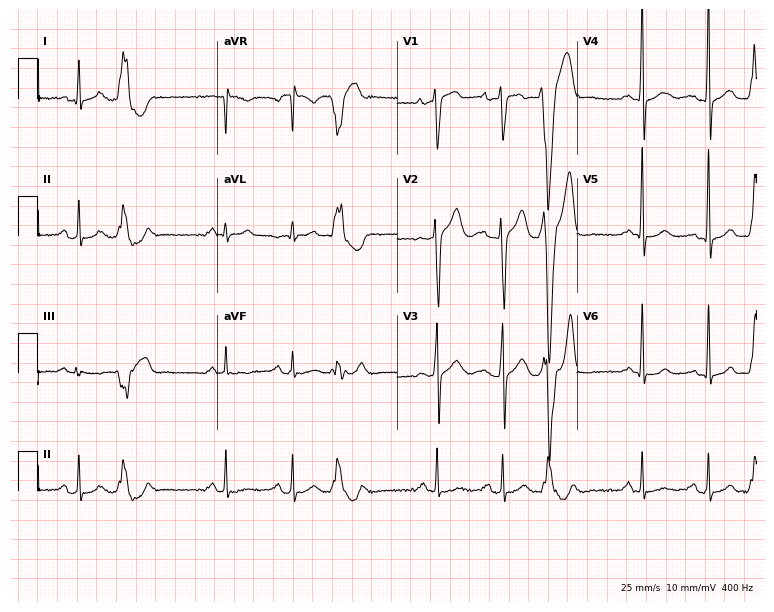
ECG — a male patient, 24 years old. Screened for six findings — first-degree AV block, right bundle branch block, left bundle branch block, sinus bradycardia, atrial fibrillation, sinus tachycardia — none is recorded. Only these six findings were labelled.